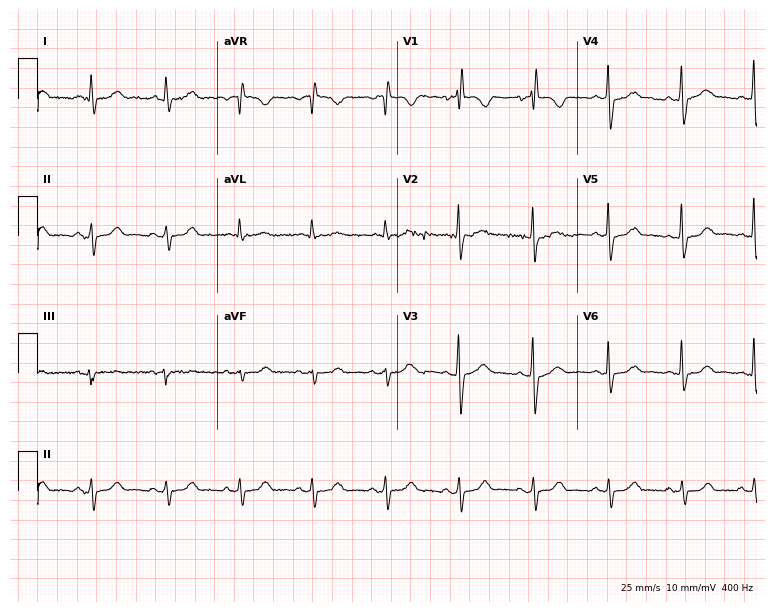
Standard 12-lead ECG recorded from a 65-year-old male. None of these six findings is recorded: first-degree AV block, right bundle branch block (RBBB), left bundle branch block (LBBB), sinus bradycardia, atrial fibrillation (AF), sinus tachycardia. Findings outside these six are not listed.